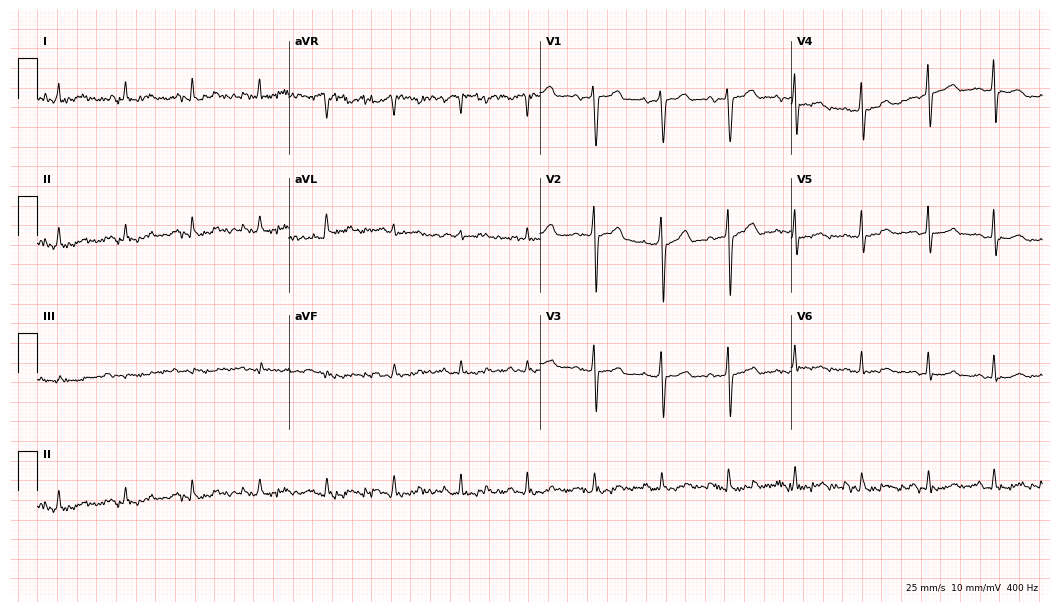
Electrocardiogram, a male, 52 years old. Overall reading on record: normal ECG.